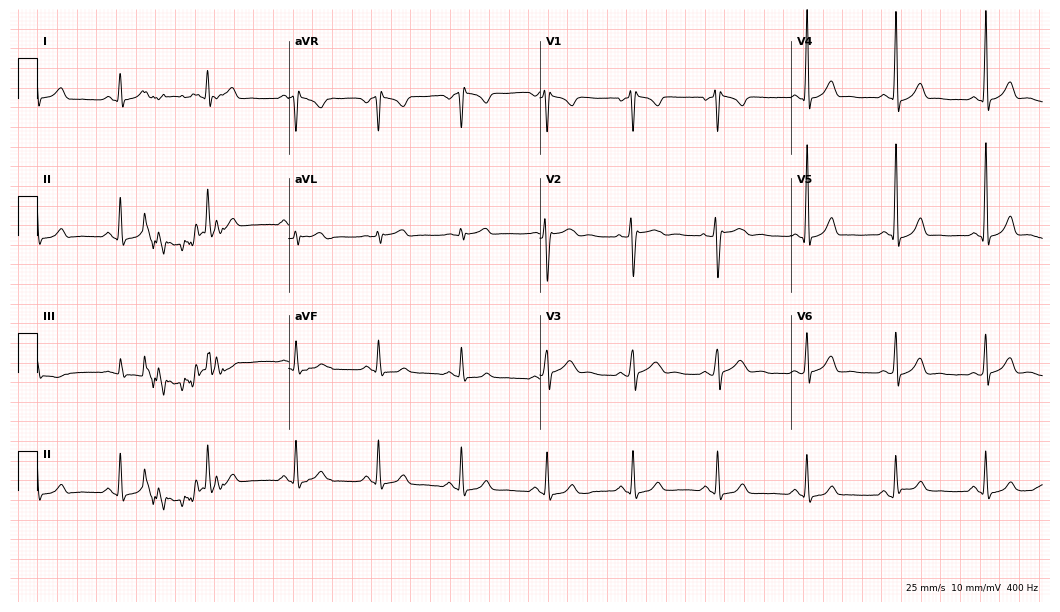
12-lead ECG from a 21-year-old man (10.2-second recording at 400 Hz). No first-degree AV block, right bundle branch block, left bundle branch block, sinus bradycardia, atrial fibrillation or sinus tachycardia recorded for this tracing.